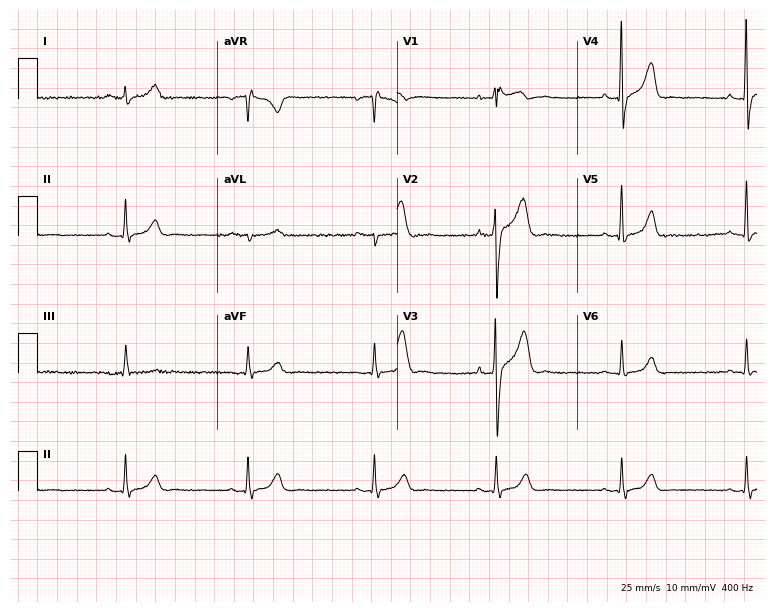
12-lead ECG from a 53-year-old man (7.3-second recording at 400 Hz). Shows sinus bradycardia (a sinus rate of 50 beats per minute or less).